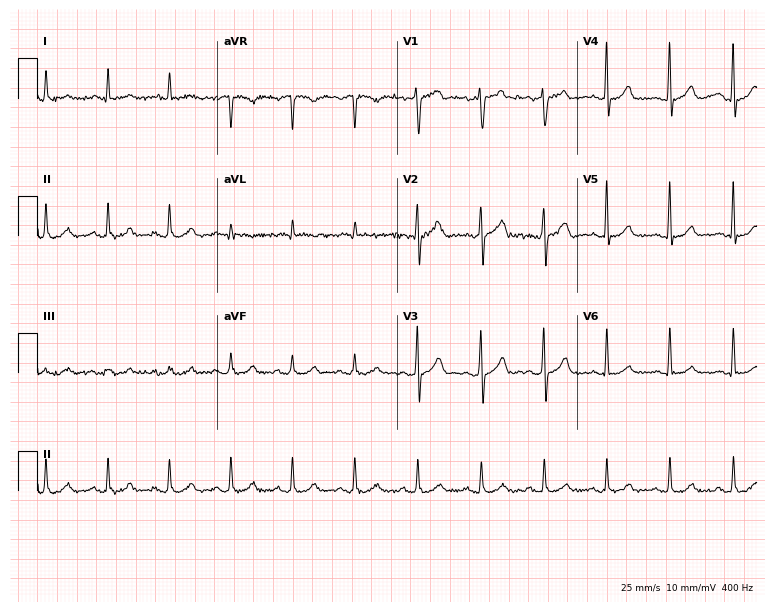
Electrocardiogram (7.3-second recording at 400 Hz), a male patient, 65 years old. Of the six screened findings (first-degree AV block, right bundle branch block (RBBB), left bundle branch block (LBBB), sinus bradycardia, atrial fibrillation (AF), sinus tachycardia), none is recorded.